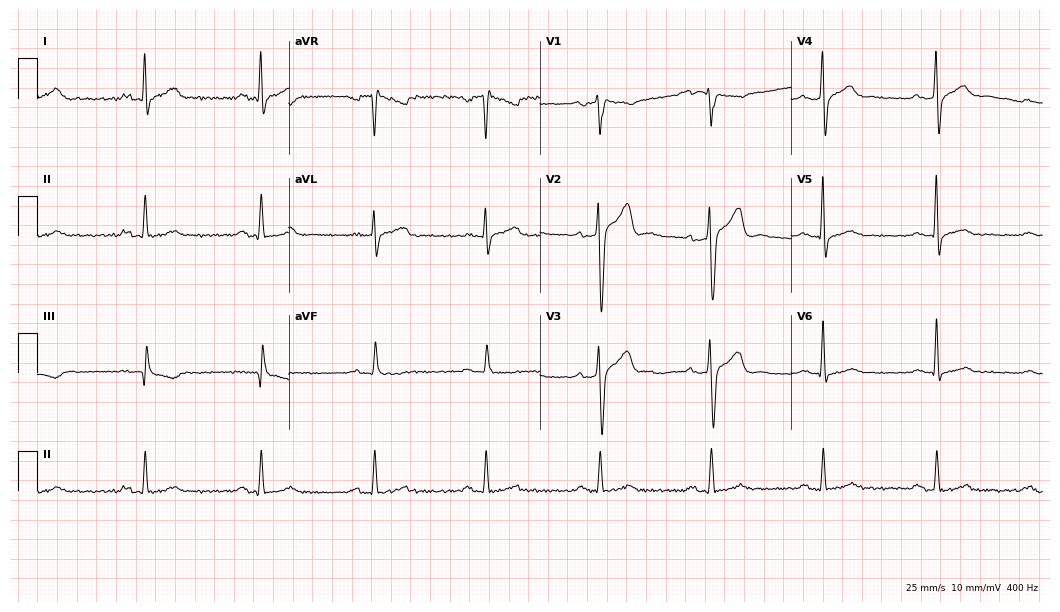
Resting 12-lead electrocardiogram (10.2-second recording at 400 Hz). Patient: a 49-year-old man. None of these six findings is recorded: first-degree AV block, right bundle branch block, left bundle branch block, sinus bradycardia, atrial fibrillation, sinus tachycardia. Findings outside these six are not listed.